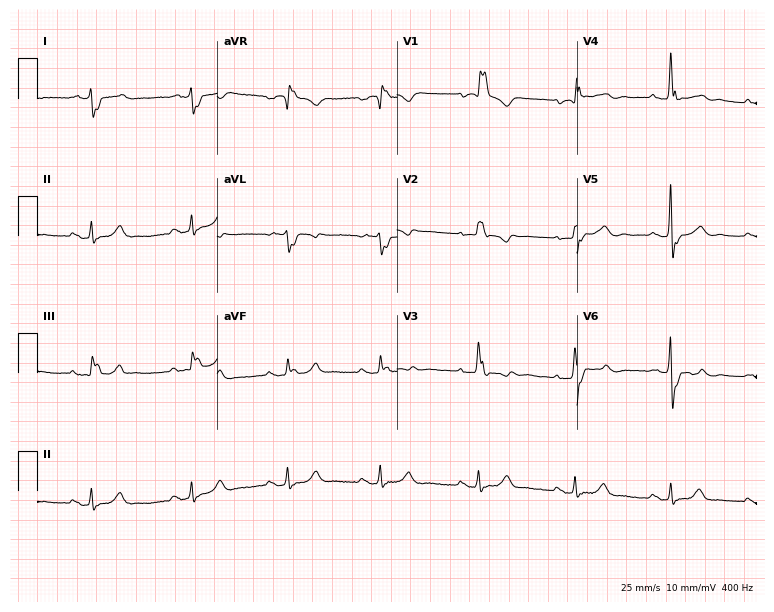
Resting 12-lead electrocardiogram (7.3-second recording at 400 Hz). Patient: an 83-year-old male. The tracing shows right bundle branch block.